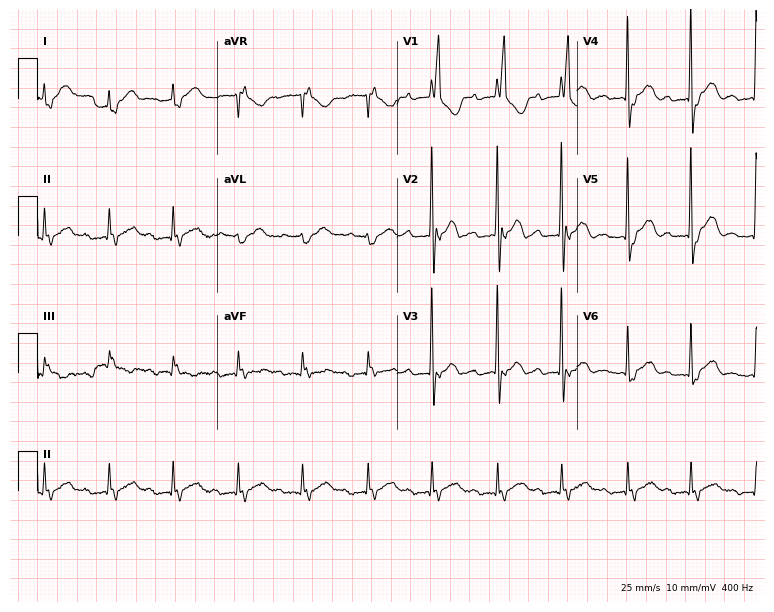
Electrocardiogram, a female patient, 80 years old. Interpretation includes right bundle branch block (RBBB).